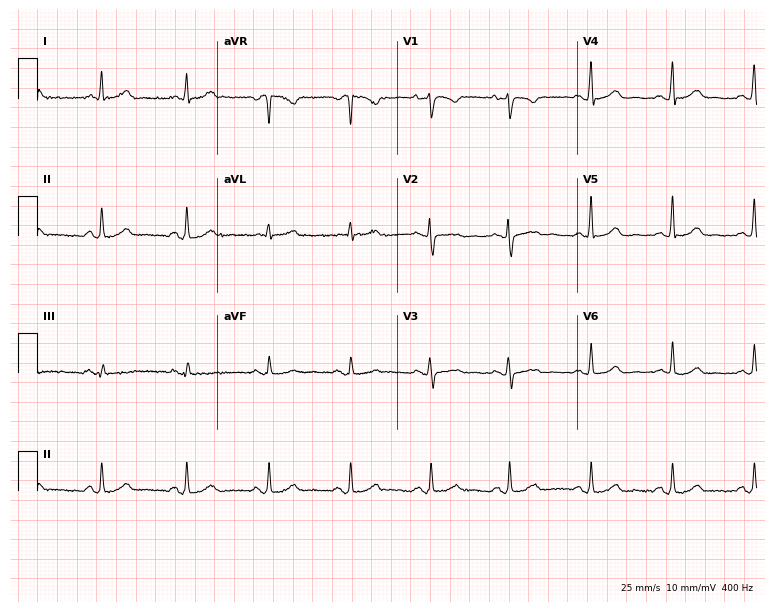
12-lead ECG from a 49-year-old female. Screened for six findings — first-degree AV block, right bundle branch block (RBBB), left bundle branch block (LBBB), sinus bradycardia, atrial fibrillation (AF), sinus tachycardia — none is recorded. Only these six findings were labelled.